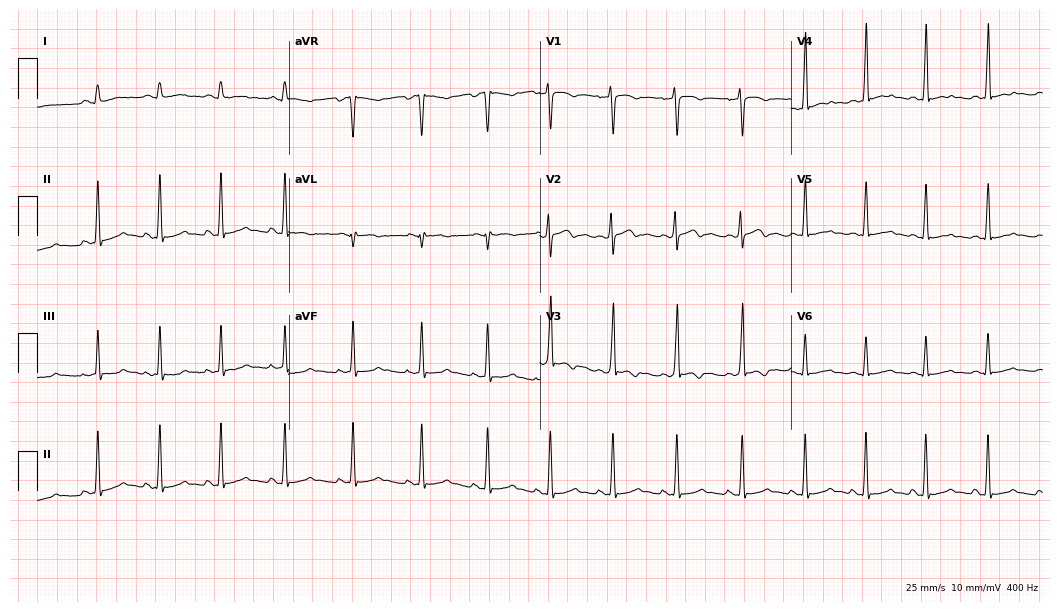
Standard 12-lead ECG recorded from a 25-year-old female patient (10.2-second recording at 400 Hz). None of these six findings is recorded: first-degree AV block, right bundle branch block, left bundle branch block, sinus bradycardia, atrial fibrillation, sinus tachycardia. Findings outside these six are not listed.